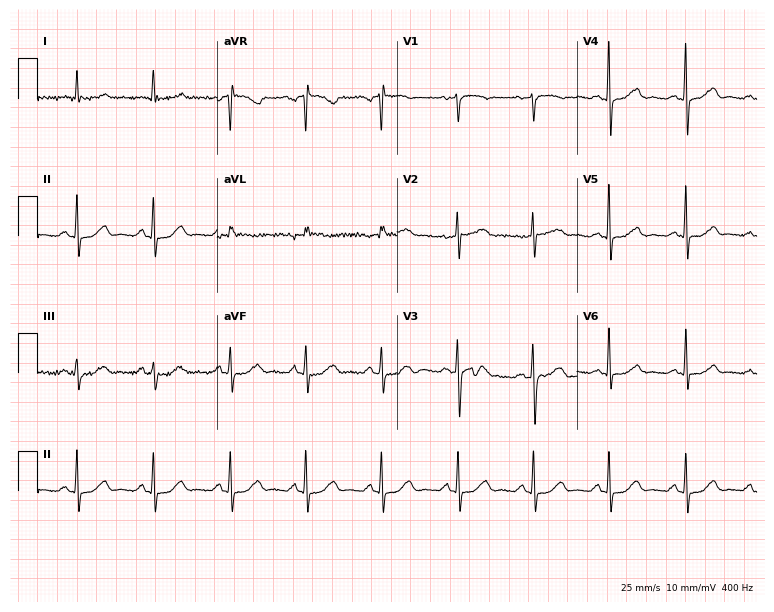
Standard 12-lead ECG recorded from a 70-year-old woman (7.3-second recording at 400 Hz). Read as a normal ECG.